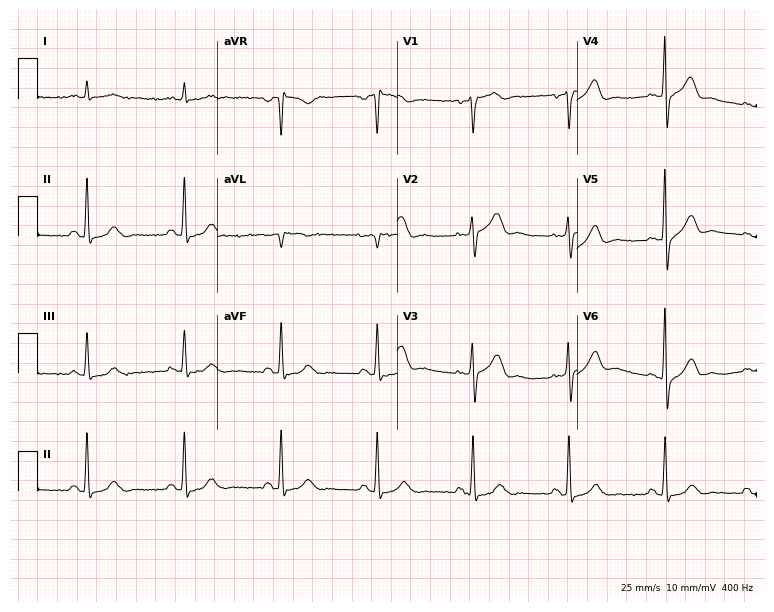
12-lead ECG from a 61-year-old male (7.3-second recording at 400 Hz). No first-degree AV block, right bundle branch block (RBBB), left bundle branch block (LBBB), sinus bradycardia, atrial fibrillation (AF) or sinus tachycardia recorded for this tracing.